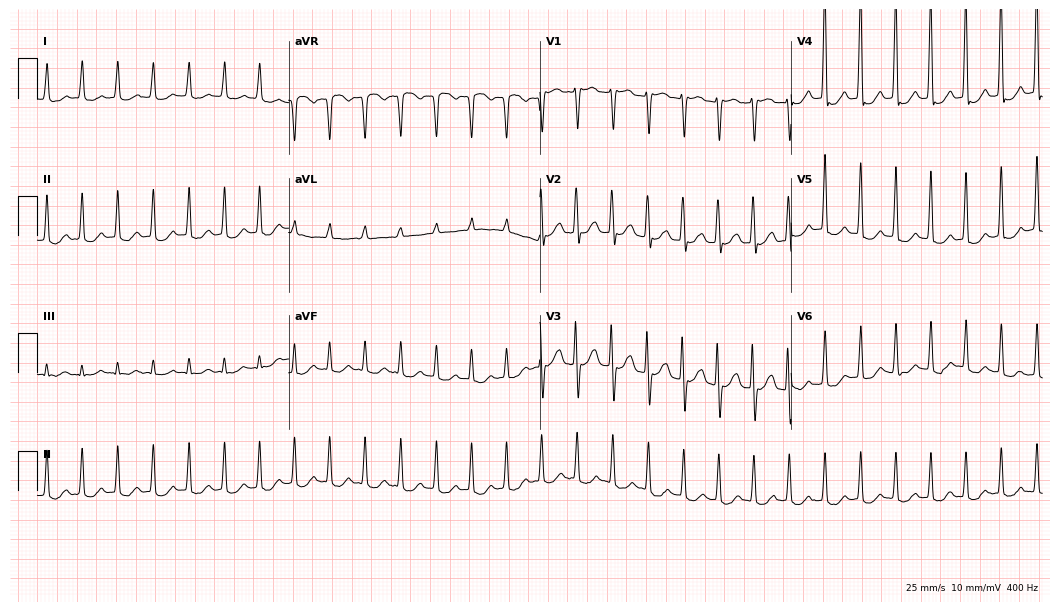
12-lead ECG from a woman, 82 years old. Screened for six findings — first-degree AV block, right bundle branch block, left bundle branch block, sinus bradycardia, atrial fibrillation, sinus tachycardia — none is recorded. Other findings, if any, are not listed.